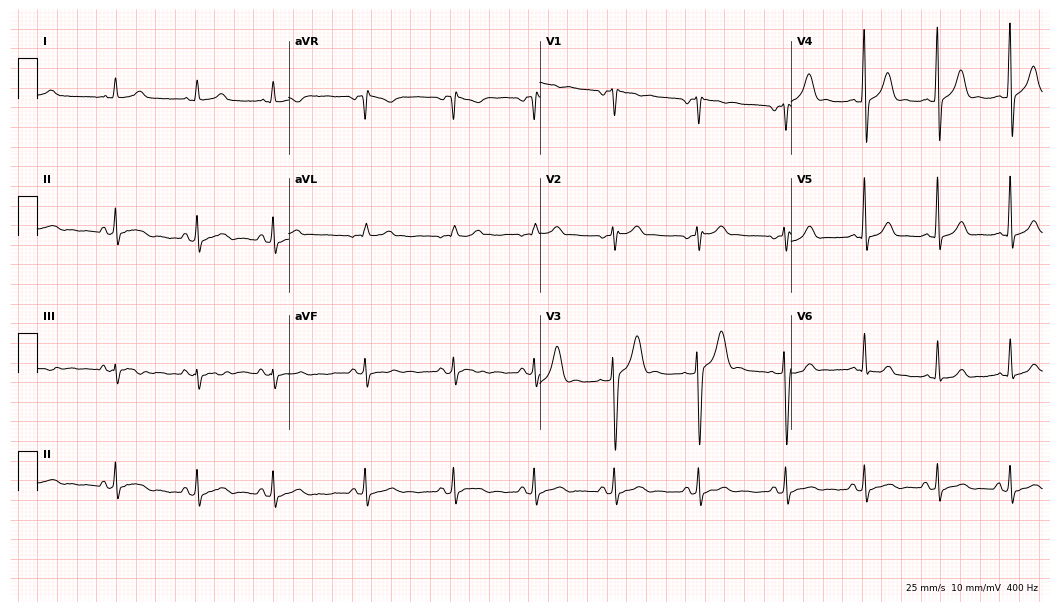
ECG — a 39-year-old male patient. Labelled as a normal ECG.